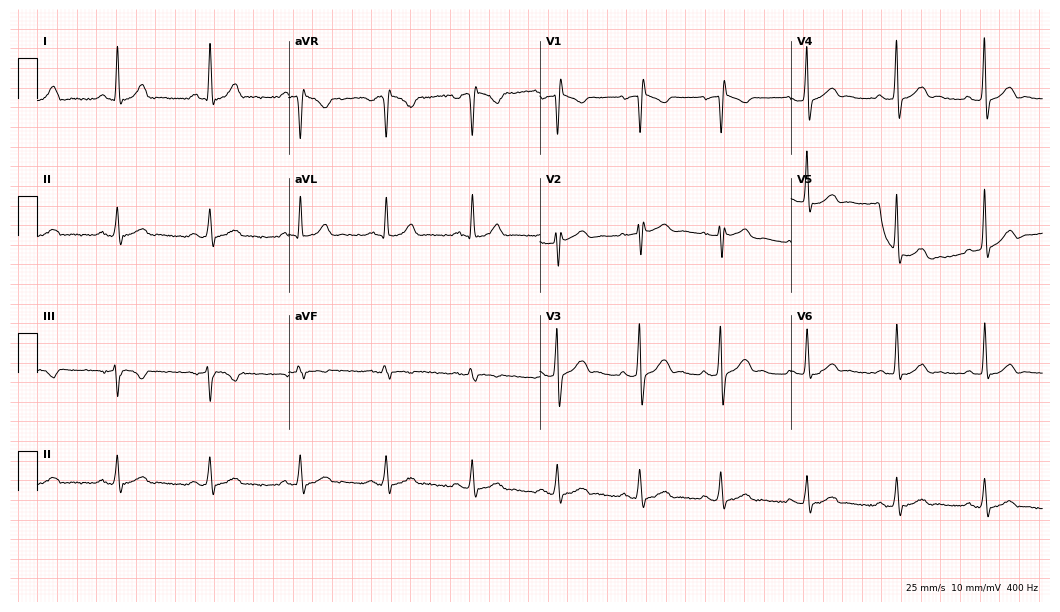
12-lead ECG (10.2-second recording at 400 Hz) from a 40-year-old male. Screened for six findings — first-degree AV block, right bundle branch block, left bundle branch block, sinus bradycardia, atrial fibrillation, sinus tachycardia — none is recorded. Other findings, if any, are not listed.